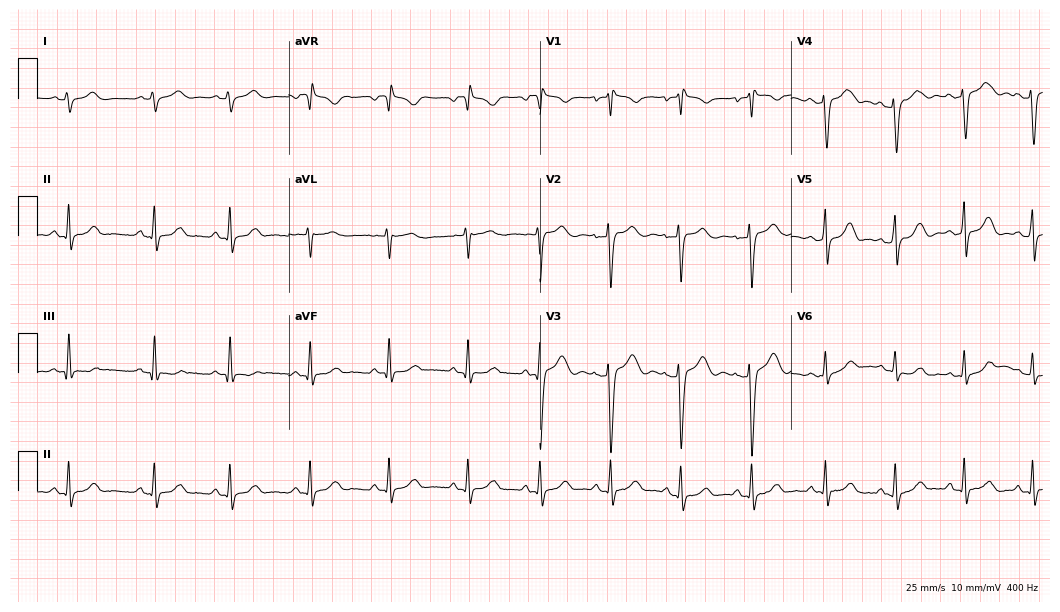
Resting 12-lead electrocardiogram (10.2-second recording at 400 Hz). Patient: a 32-year-old female. None of these six findings is recorded: first-degree AV block, right bundle branch block, left bundle branch block, sinus bradycardia, atrial fibrillation, sinus tachycardia. Only these six findings were labelled.